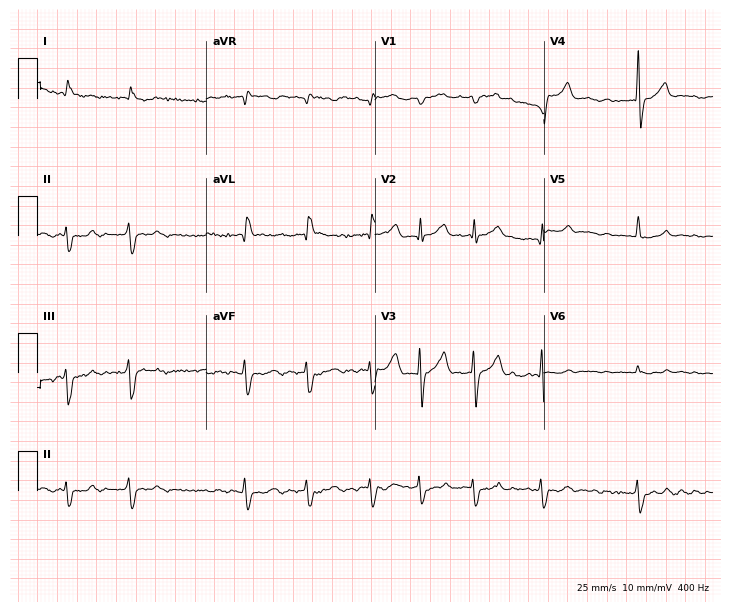
Standard 12-lead ECG recorded from a 70-year-old male patient (6.9-second recording at 400 Hz). The tracing shows atrial fibrillation.